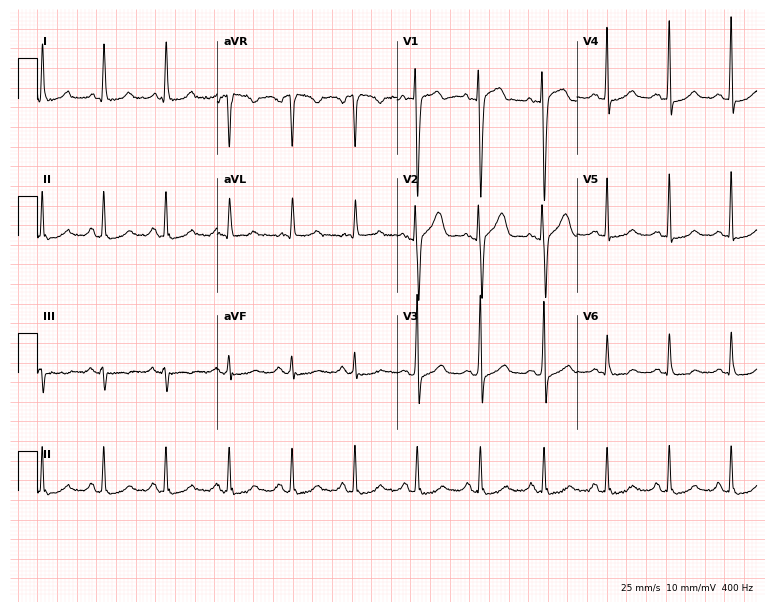
Electrocardiogram, a 61-year-old woman. Of the six screened findings (first-degree AV block, right bundle branch block (RBBB), left bundle branch block (LBBB), sinus bradycardia, atrial fibrillation (AF), sinus tachycardia), none is recorded. Findings outside these six are not listed.